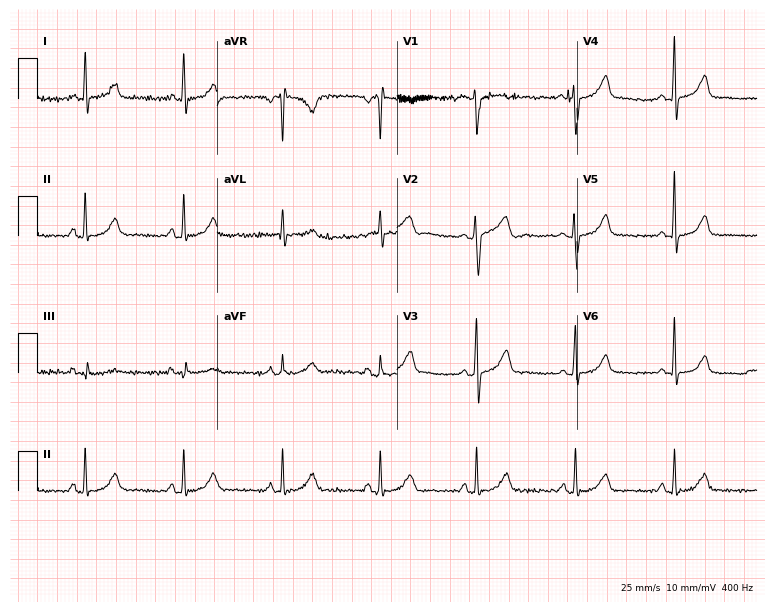
12-lead ECG from a female, 58 years old. Labelled as a normal ECG.